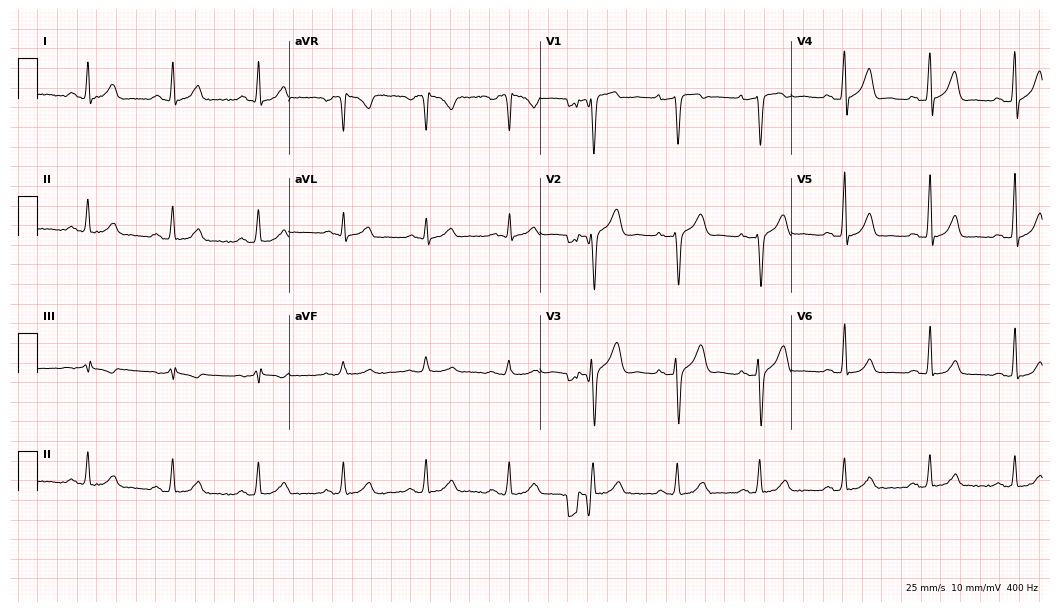
12-lead ECG from a man, 47 years old. Labelled as a normal ECG.